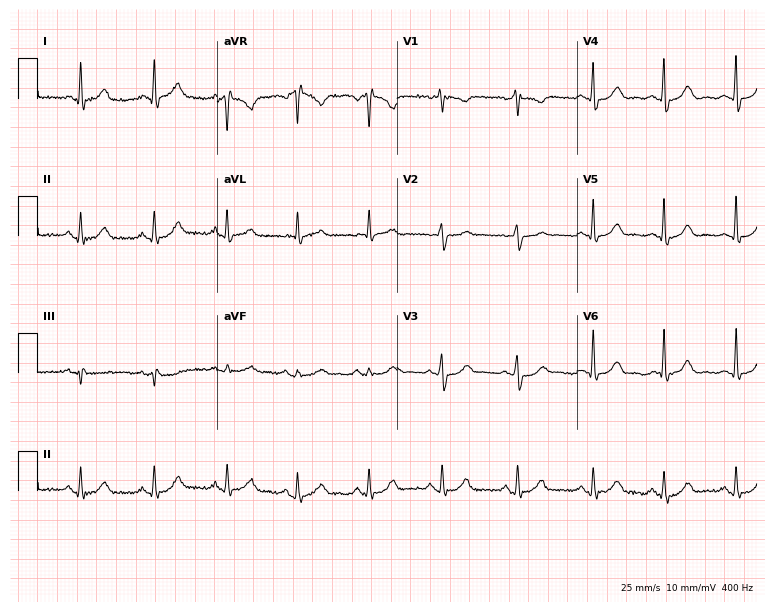
Electrocardiogram, a 48-year-old female patient. Overall reading on record: normal ECG.